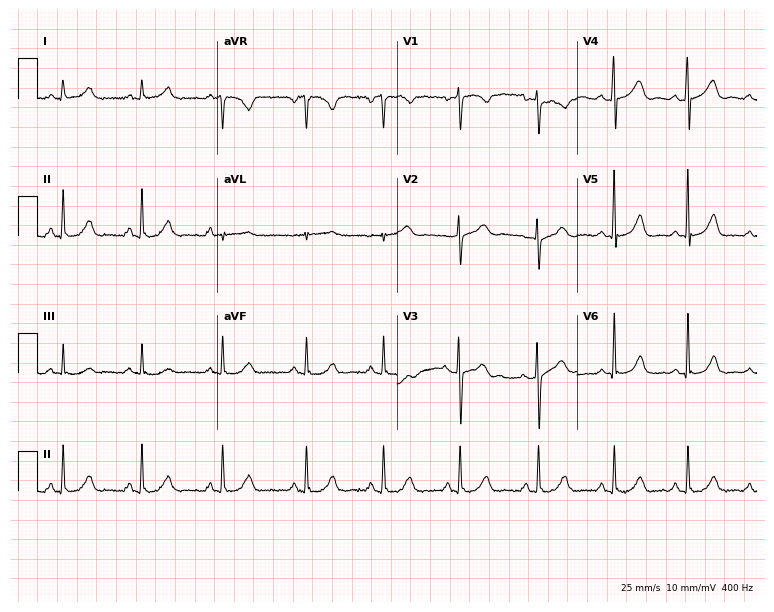
ECG — a female, 45 years old. Labelled as a normal ECG.